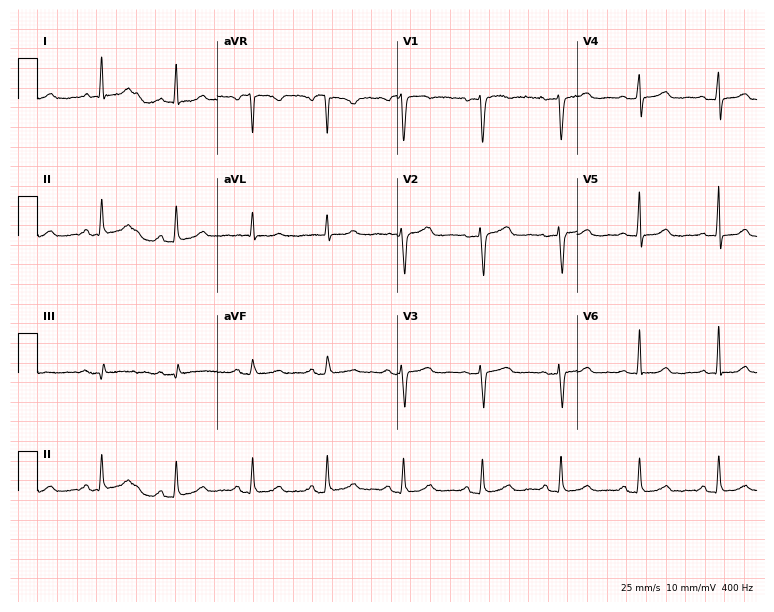
Electrocardiogram (7.3-second recording at 400 Hz), a 46-year-old female. Overall reading on record: normal ECG.